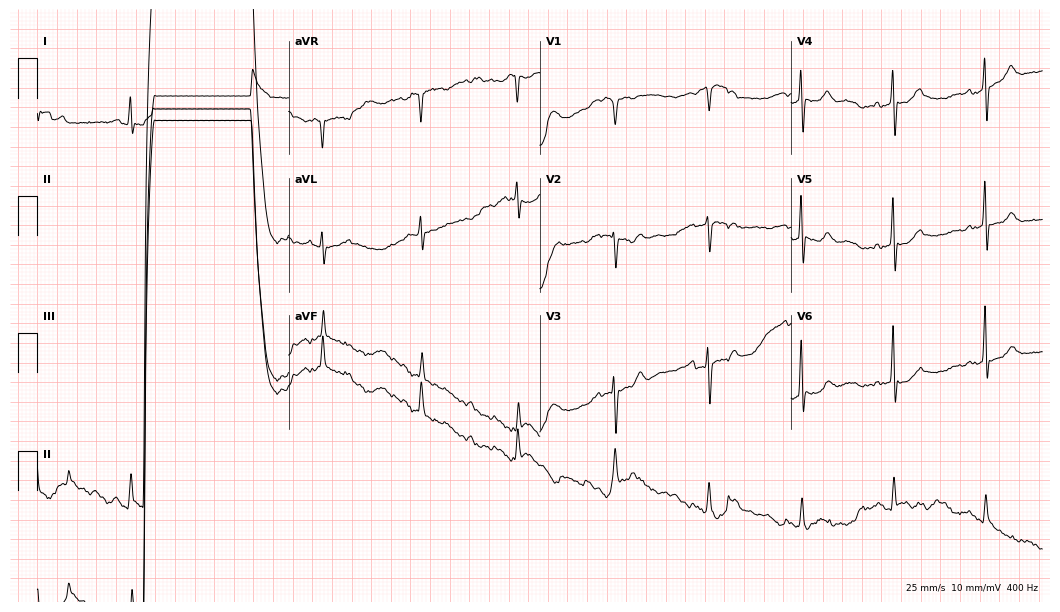
12-lead ECG (10.2-second recording at 400 Hz) from a male, 73 years old. Screened for six findings — first-degree AV block, right bundle branch block (RBBB), left bundle branch block (LBBB), sinus bradycardia, atrial fibrillation (AF), sinus tachycardia — none is recorded. Other findings, if any, are not listed.